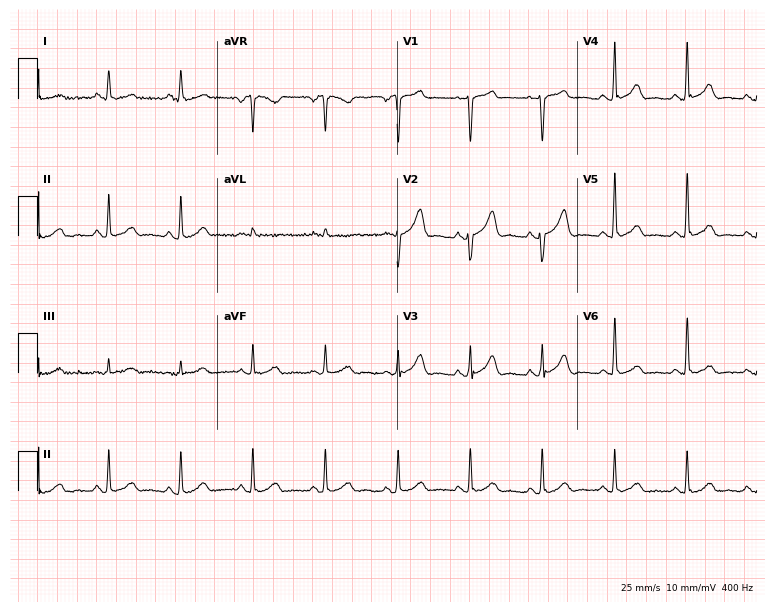
Electrocardiogram (7.3-second recording at 400 Hz), a male patient, 50 years old. Overall reading on record: normal ECG.